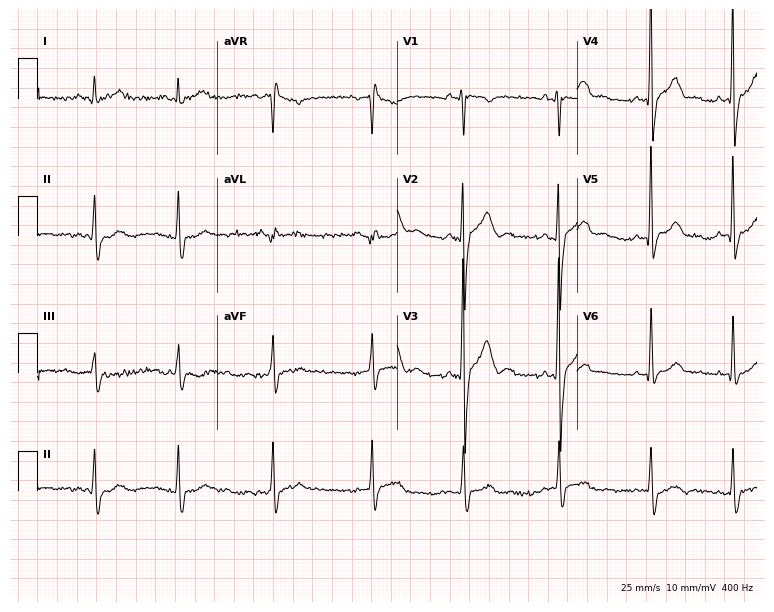
Resting 12-lead electrocardiogram. Patient: a 27-year-old male. None of these six findings is recorded: first-degree AV block, right bundle branch block, left bundle branch block, sinus bradycardia, atrial fibrillation, sinus tachycardia. Only these six findings were labelled.